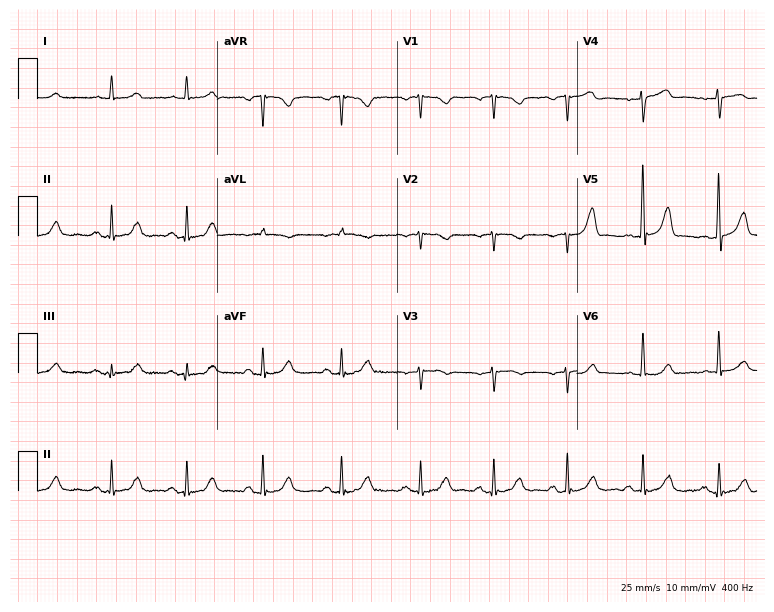
ECG (7.3-second recording at 400 Hz) — a female, 79 years old. Screened for six findings — first-degree AV block, right bundle branch block, left bundle branch block, sinus bradycardia, atrial fibrillation, sinus tachycardia — none is recorded. Findings outside these six are not listed.